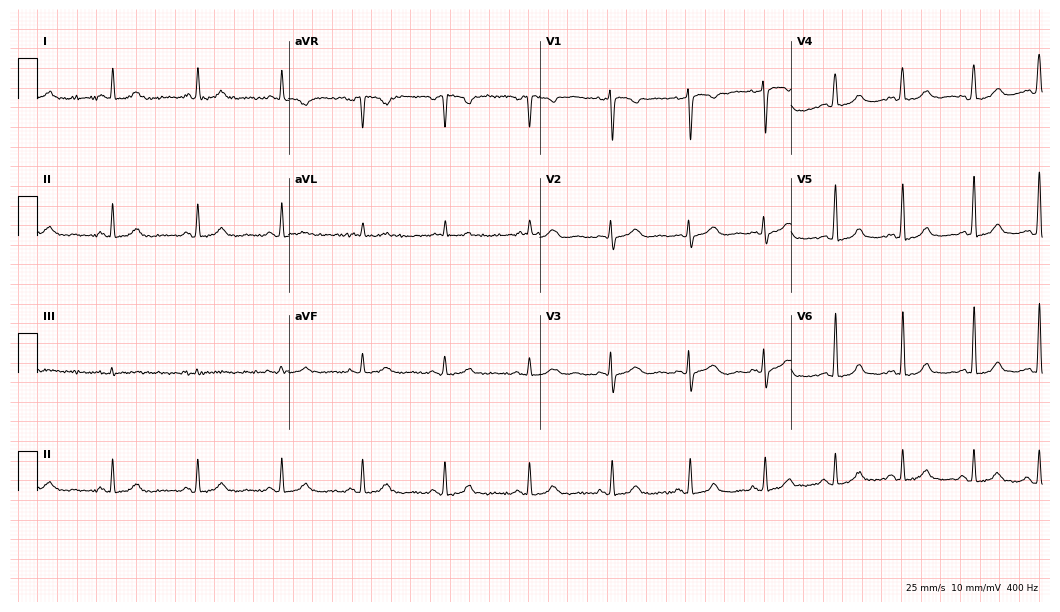
Resting 12-lead electrocardiogram (10.2-second recording at 400 Hz). Patient: a woman, 52 years old. Read as a normal ECG.